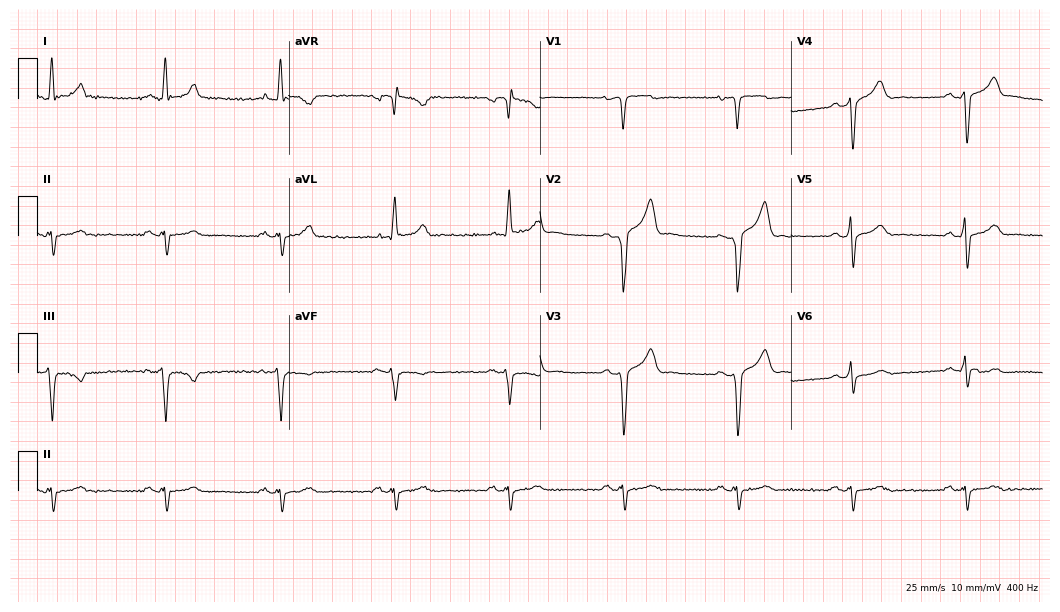
Electrocardiogram, a female patient, 57 years old. Of the six screened findings (first-degree AV block, right bundle branch block, left bundle branch block, sinus bradycardia, atrial fibrillation, sinus tachycardia), none is recorded. Only these six findings were labelled.